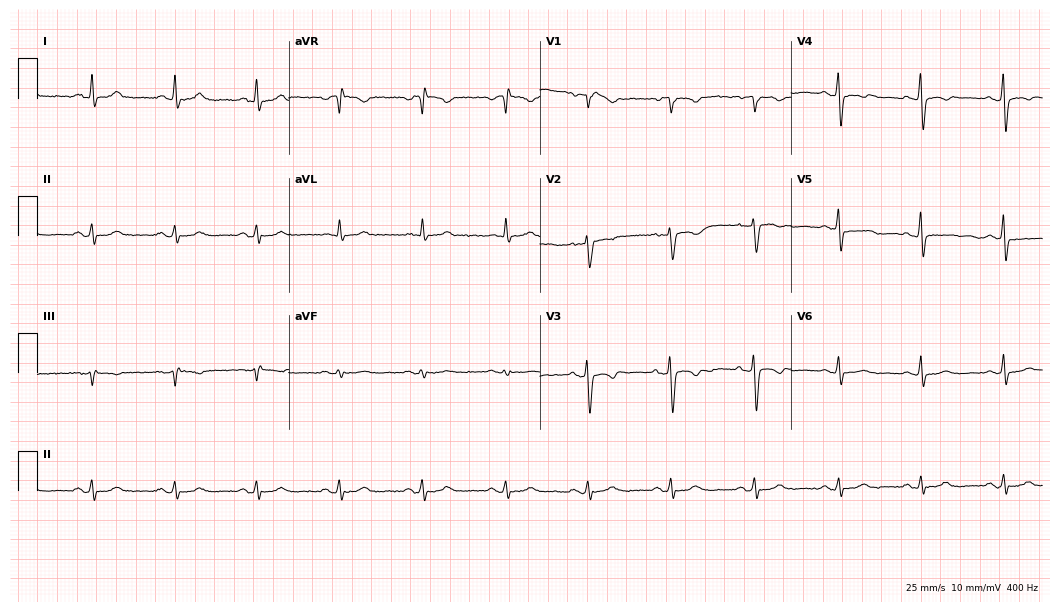
Resting 12-lead electrocardiogram (10.2-second recording at 400 Hz). Patient: a 56-year-old woman. None of these six findings is recorded: first-degree AV block, right bundle branch block, left bundle branch block, sinus bradycardia, atrial fibrillation, sinus tachycardia.